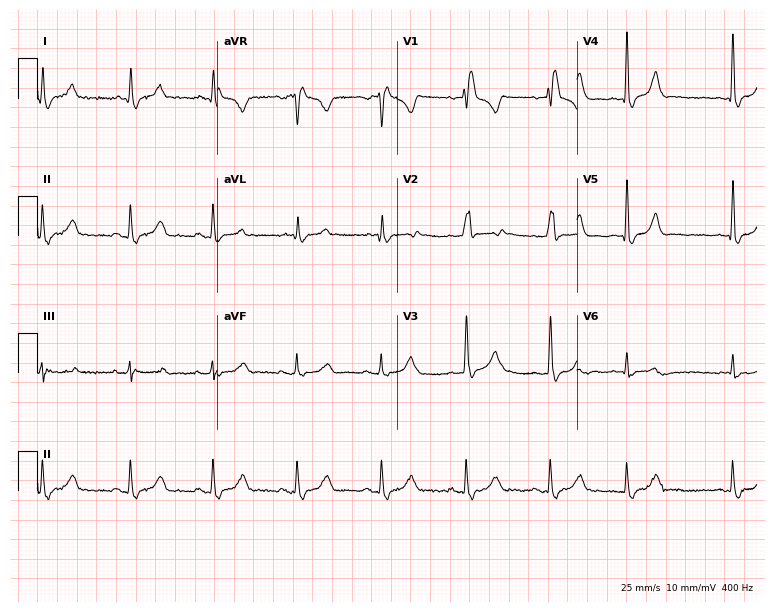
ECG — a 56-year-old female patient. Findings include right bundle branch block.